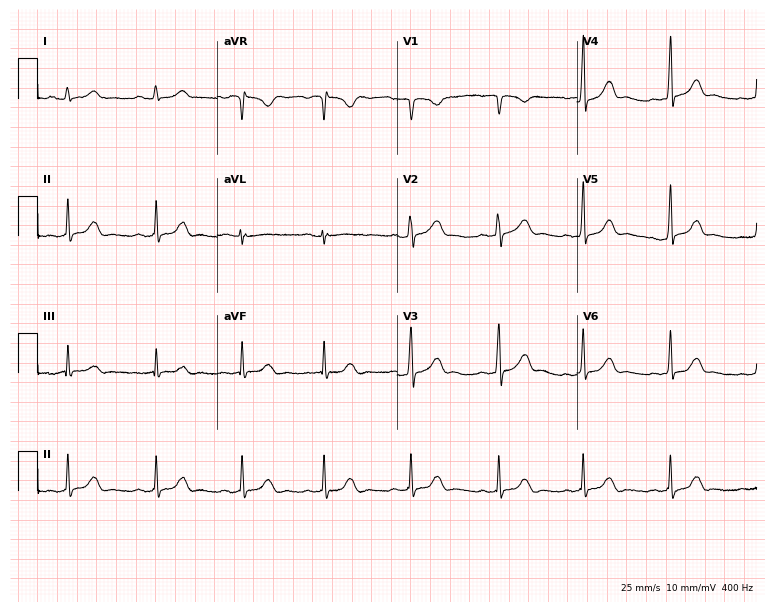
12-lead ECG from a woman, 31 years old. Recorded interpretation: within normal limits.